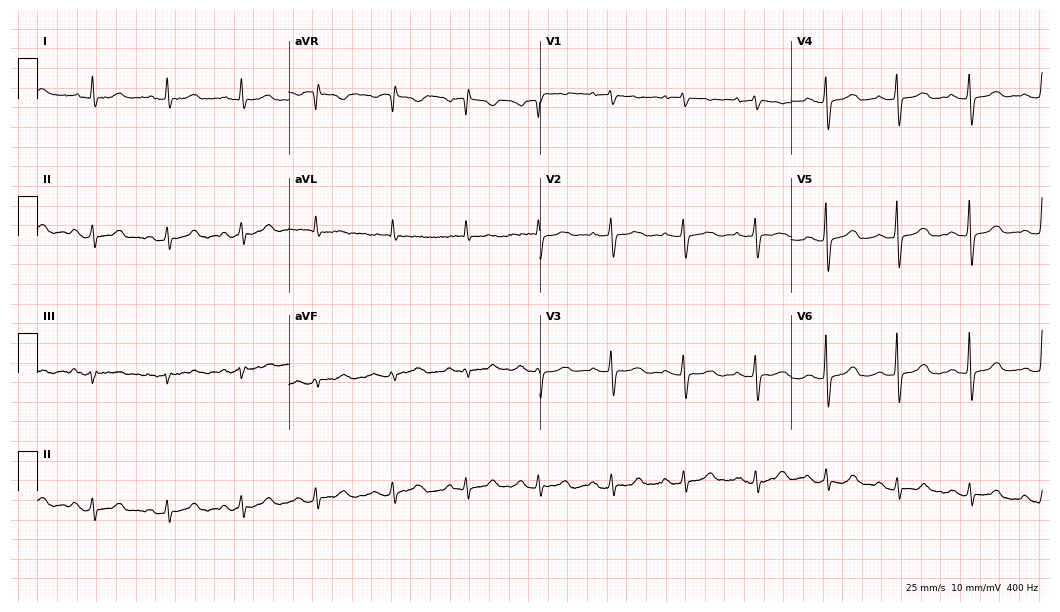
Electrocardiogram, a 64-year-old female. Overall reading on record: normal ECG.